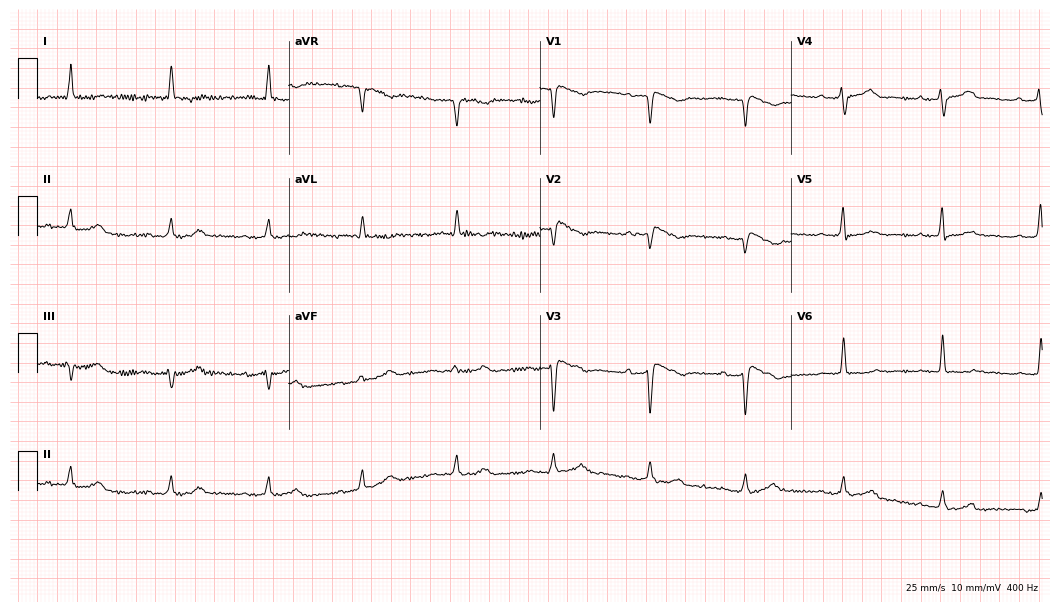
Resting 12-lead electrocardiogram (10.2-second recording at 400 Hz). Patient: a 67-year-old female. The tracing shows first-degree AV block.